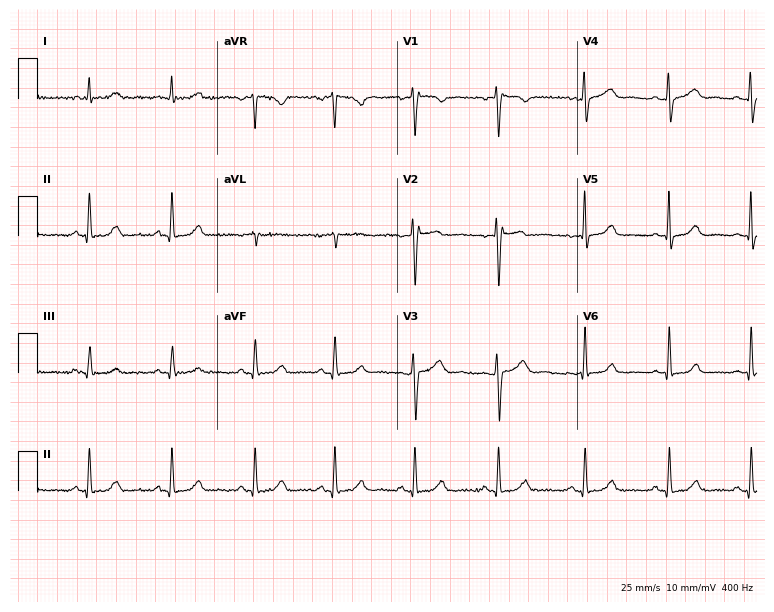
Electrocardiogram (7.3-second recording at 400 Hz), a woman, 41 years old. Overall reading on record: normal ECG.